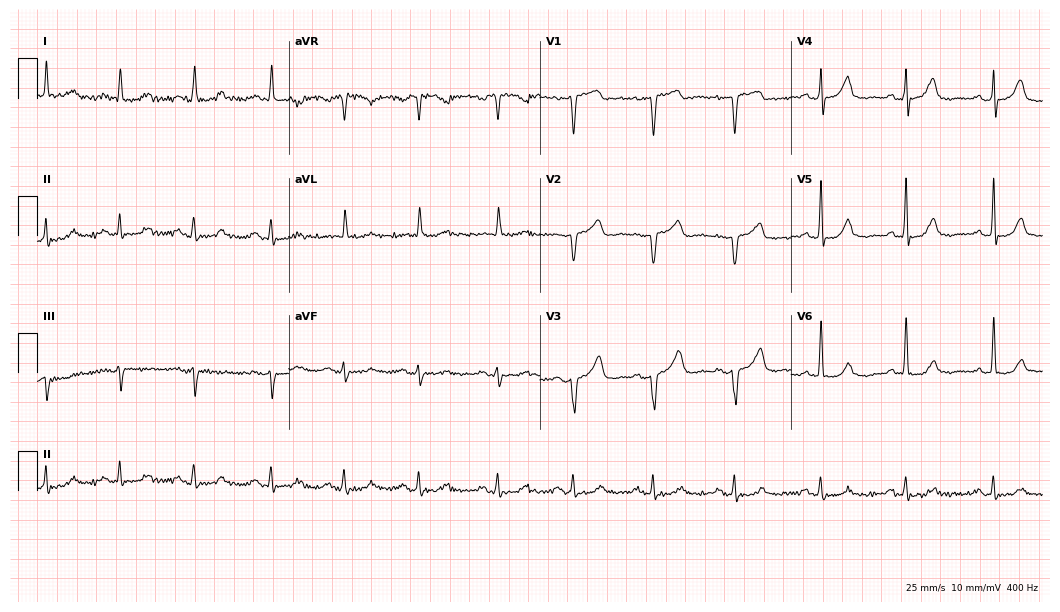
Resting 12-lead electrocardiogram (10.2-second recording at 400 Hz). Patient: a woman, 66 years old. None of these six findings is recorded: first-degree AV block, right bundle branch block, left bundle branch block, sinus bradycardia, atrial fibrillation, sinus tachycardia.